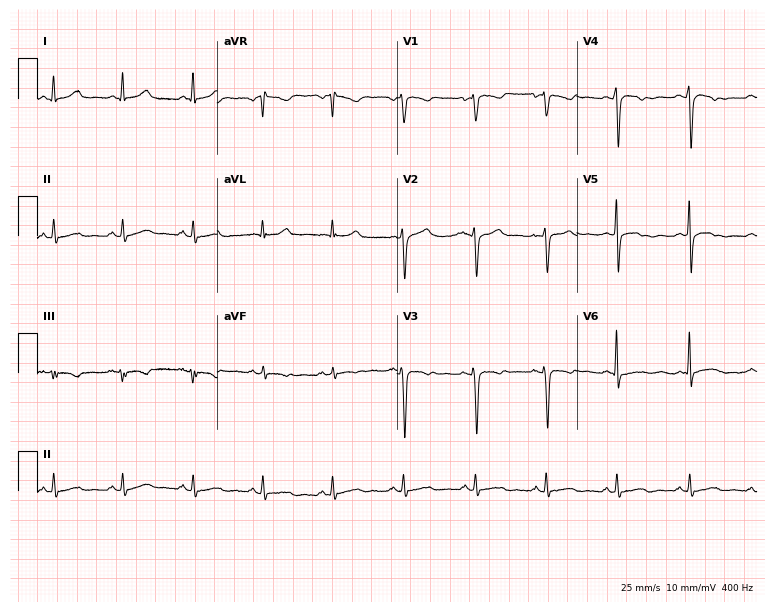
Electrocardiogram (7.3-second recording at 400 Hz), a woman, 39 years old. Of the six screened findings (first-degree AV block, right bundle branch block (RBBB), left bundle branch block (LBBB), sinus bradycardia, atrial fibrillation (AF), sinus tachycardia), none is recorded. Findings outside these six are not listed.